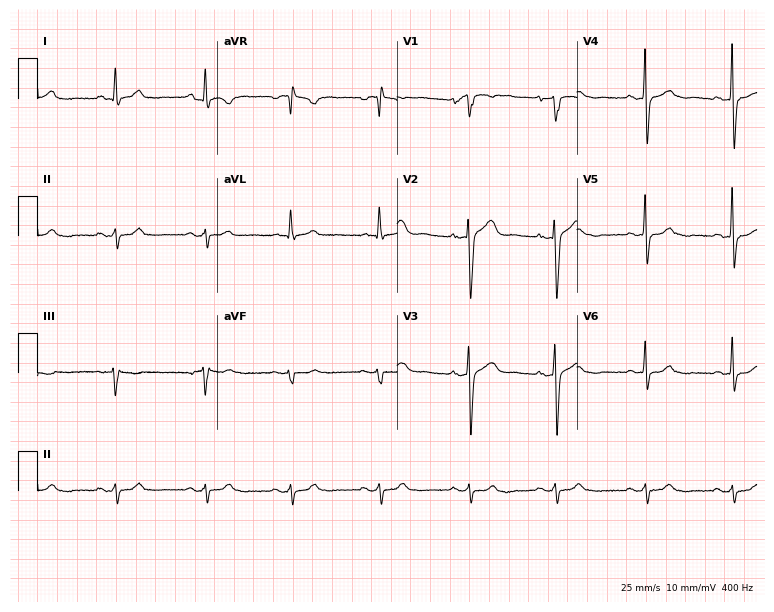
ECG — a male patient, 65 years old. Screened for six findings — first-degree AV block, right bundle branch block, left bundle branch block, sinus bradycardia, atrial fibrillation, sinus tachycardia — none is recorded.